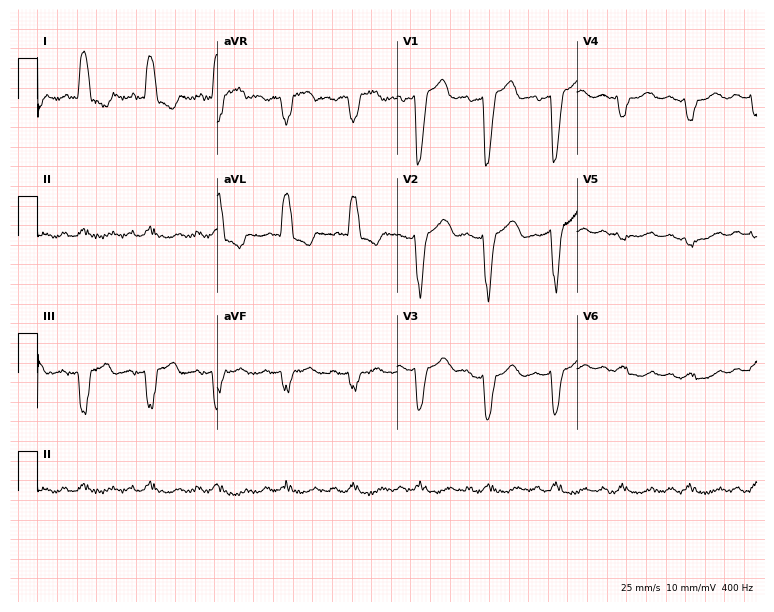
Standard 12-lead ECG recorded from a 70-year-old woman. The tracing shows left bundle branch block (LBBB).